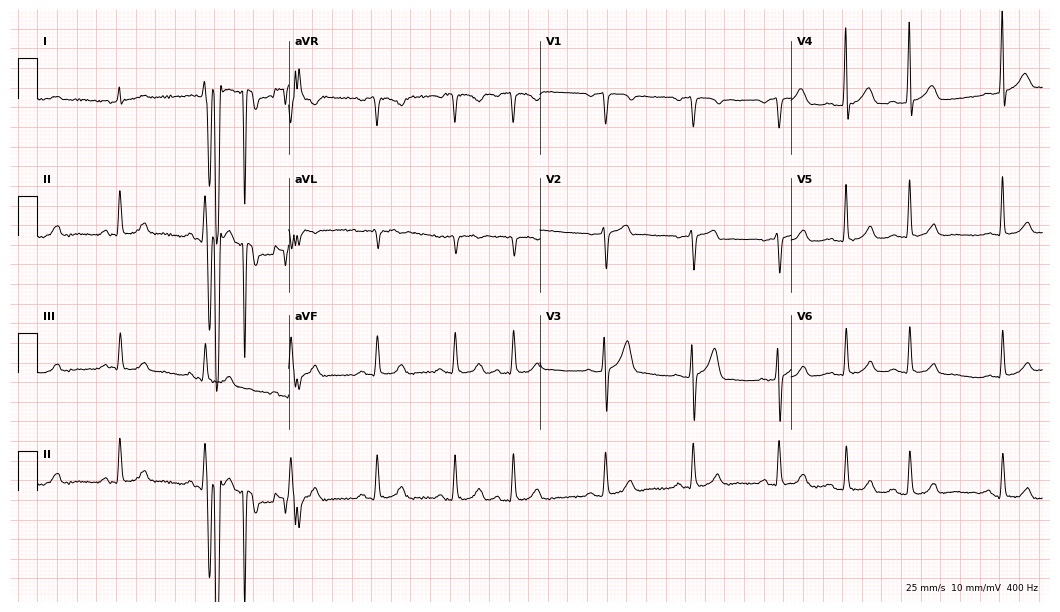
12-lead ECG from a 77-year-old male (10.2-second recording at 400 Hz). No first-degree AV block, right bundle branch block (RBBB), left bundle branch block (LBBB), sinus bradycardia, atrial fibrillation (AF) or sinus tachycardia recorded for this tracing. Findings outside these six are not listed.